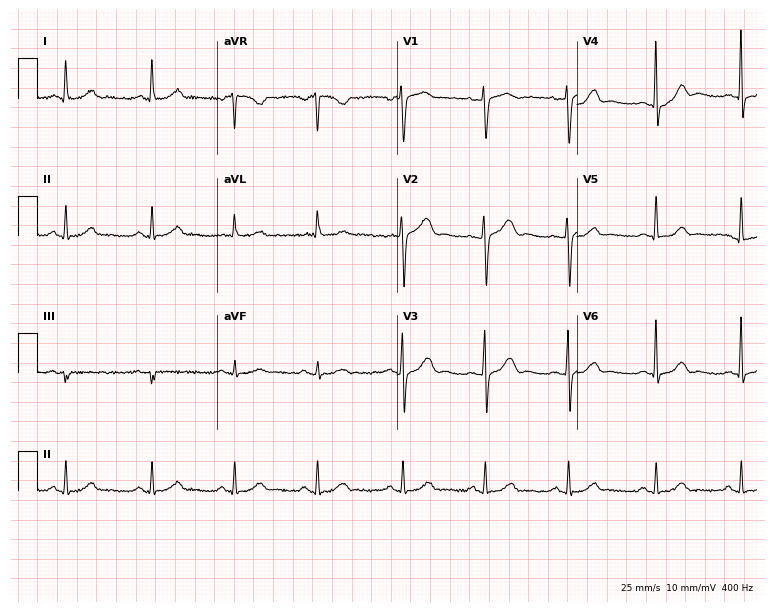
12-lead ECG from a 58-year-old female patient. Recorded interpretation: within normal limits.